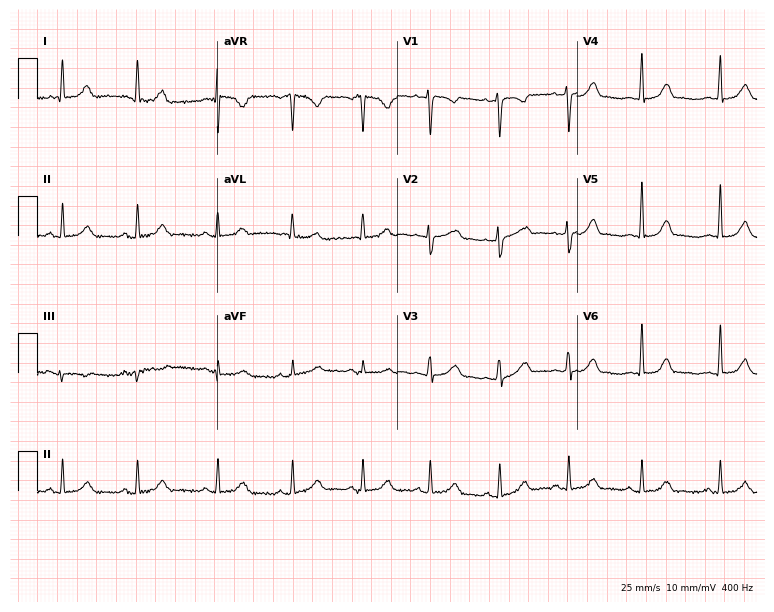
Electrocardiogram, a 44-year-old female patient. Overall reading on record: normal ECG.